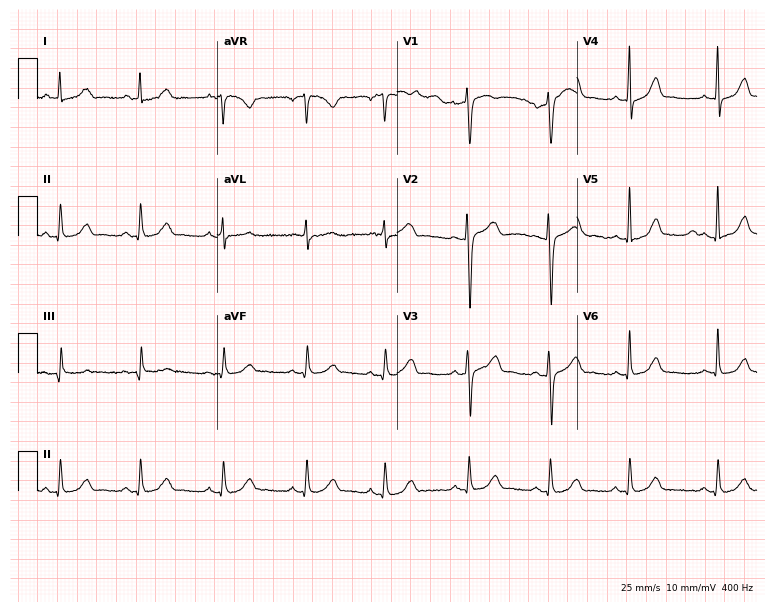
12-lead ECG (7.3-second recording at 400 Hz) from a 30-year-old female patient. Labelled as a normal ECG.